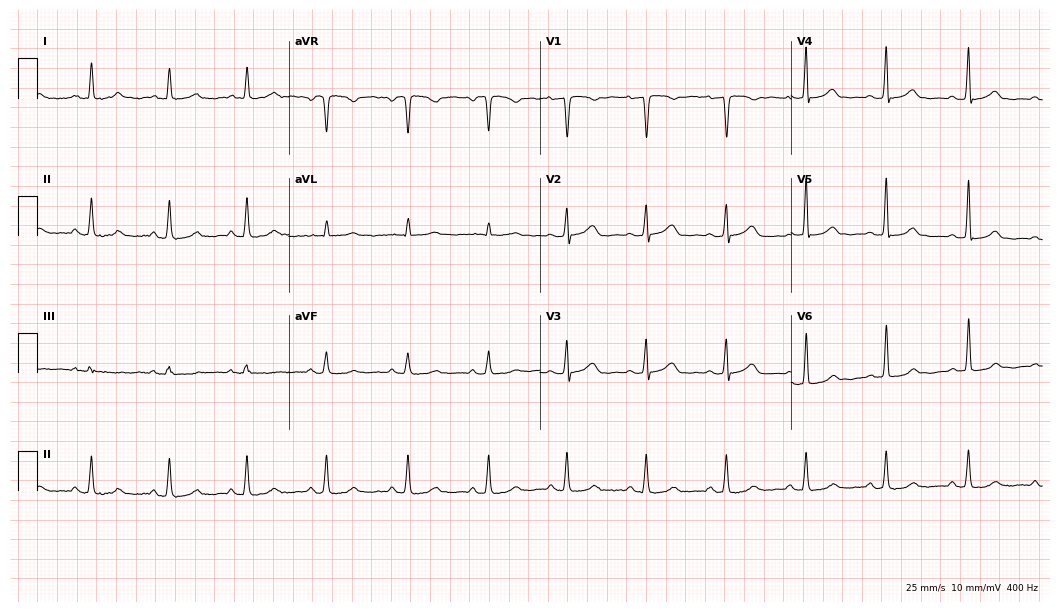
Resting 12-lead electrocardiogram. Patient: a woman, 47 years old. Read as a normal ECG.